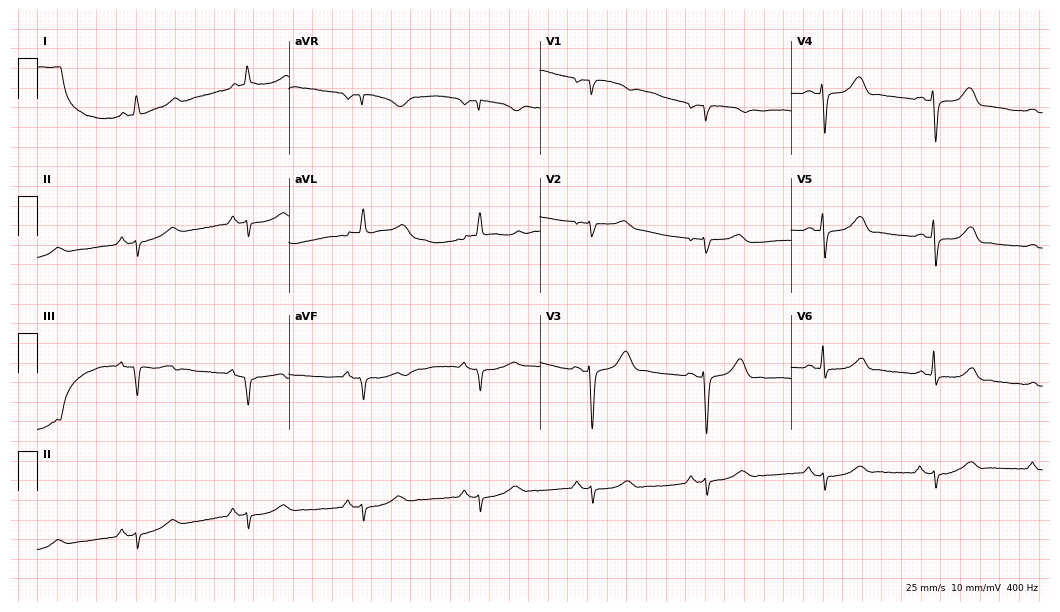
Electrocardiogram, a 57-year-old female. Of the six screened findings (first-degree AV block, right bundle branch block (RBBB), left bundle branch block (LBBB), sinus bradycardia, atrial fibrillation (AF), sinus tachycardia), none is recorded.